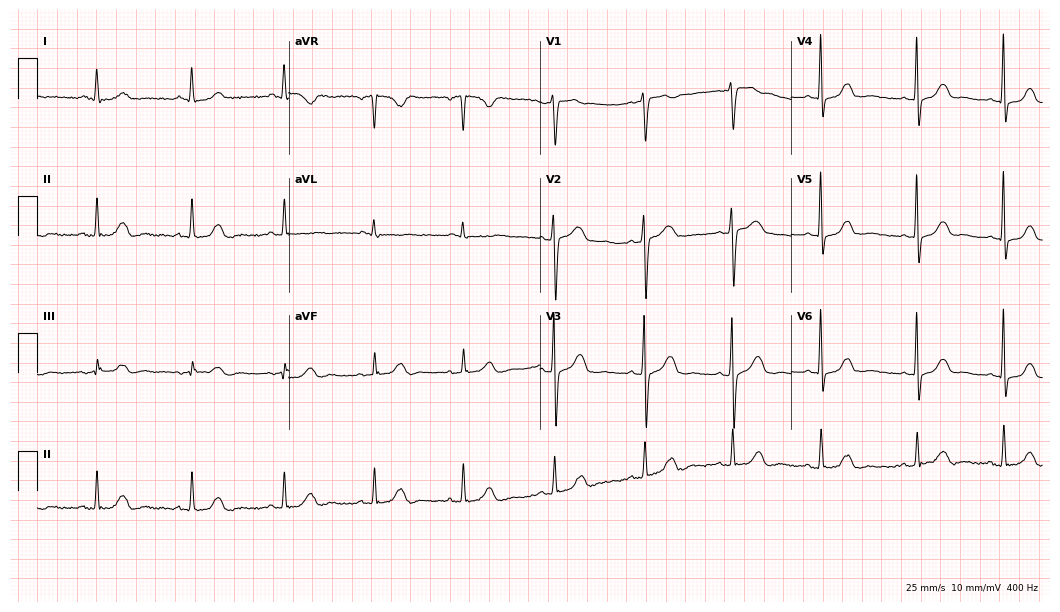
12-lead ECG from a 56-year-old female patient. Screened for six findings — first-degree AV block, right bundle branch block, left bundle branch block, sinus bradycardia, atrial fibrillation, sinus tachycardia — none is recorded.